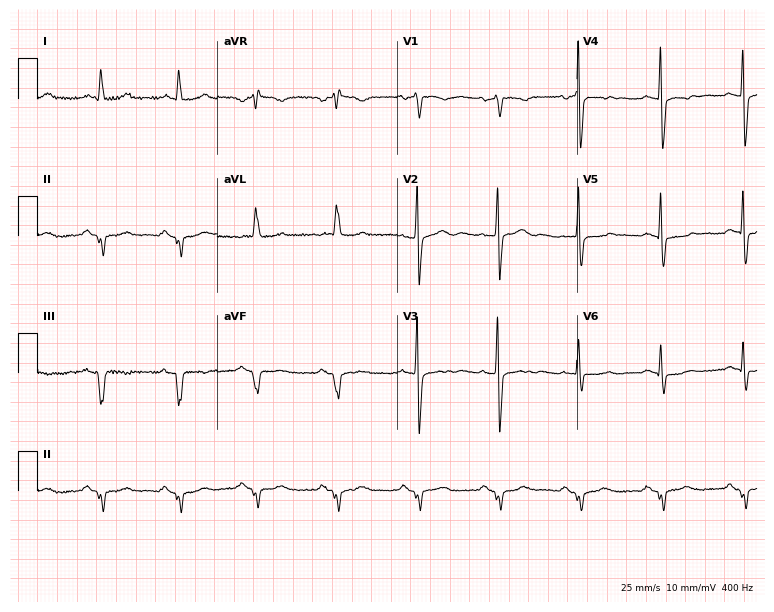
Electrocardiogram (7.3-second recording at 400 Hz), a man, 74 years old. Of the six screened findings (first-degree AV block, right bundle branch block (RBBB), left bundle branch block (LBBB), sinus bradycardia, atrial fibrillation (AF), sinus tachycardia), none is recorded.